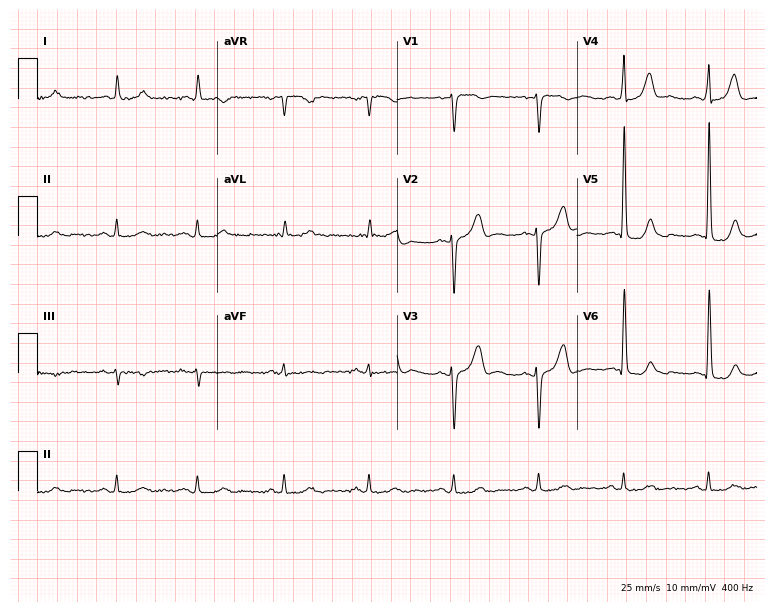
Electrocardiogram, a 77-year-old male patient. Of the six screened findings (first-degree AV block, right bundle branch block, left bundle branch block, sinus bradycardia, atrial fibrillation, sinus tachycardia), none is recorded. Only these six findings were labelled.